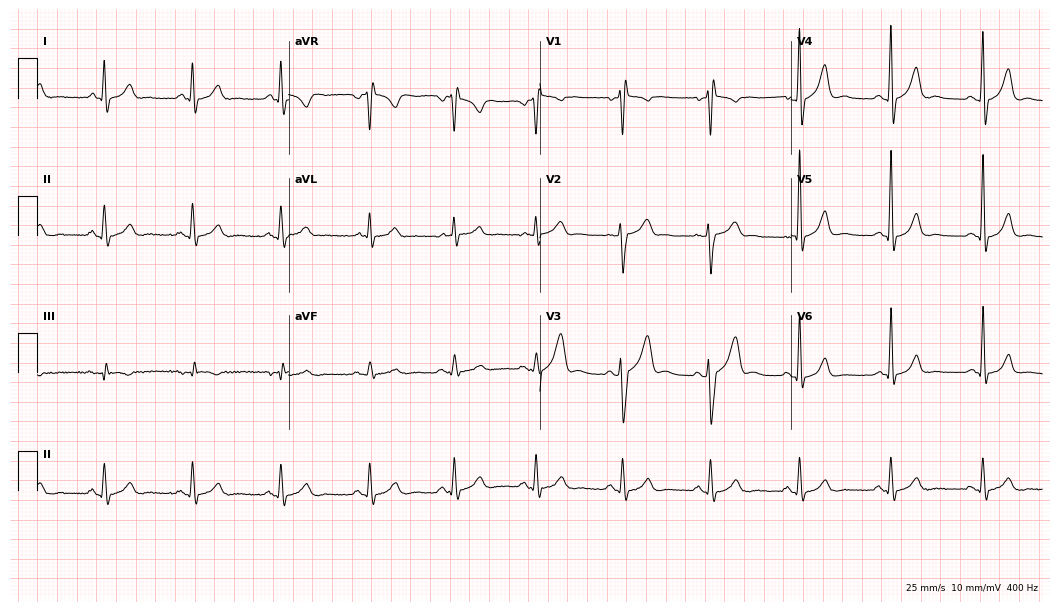
Standard 12-lead ECG recorded from a 44-year-old male patient. Read as a normal ECG.